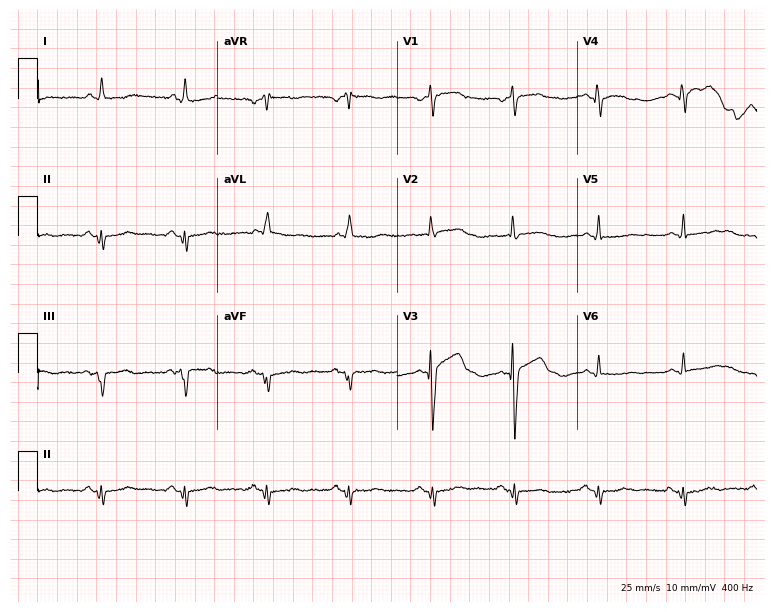
Standard 12-lead ECG recorded from a female patient, 77 years old (7.3-second recording at 400 Hz). None of these six findings is recorded: first-degree AV block, right bundle branch block, left bundle branch block, sinus bradycardia, atrial fibrillation, sinus tachycardia. Findings outside these six are not listed.